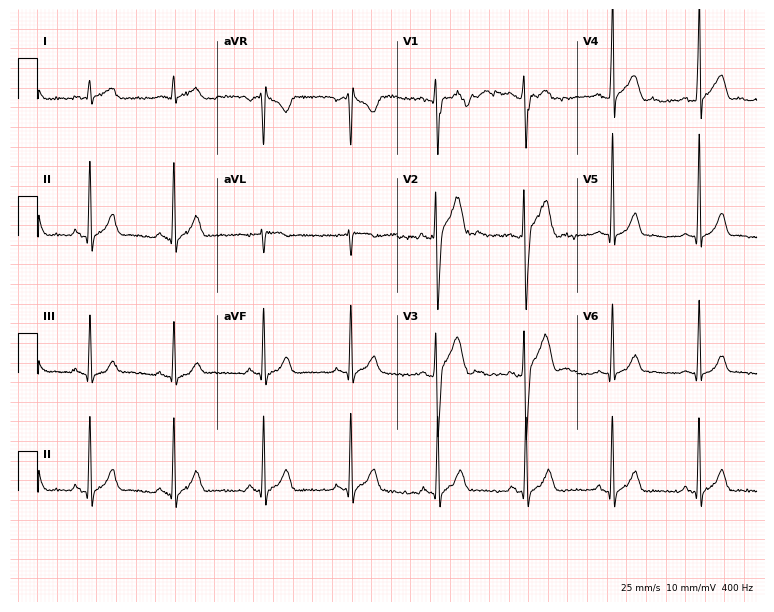
Electrocardiogram, a 21-year-old male patient. Overall reading on record: normal ECG.